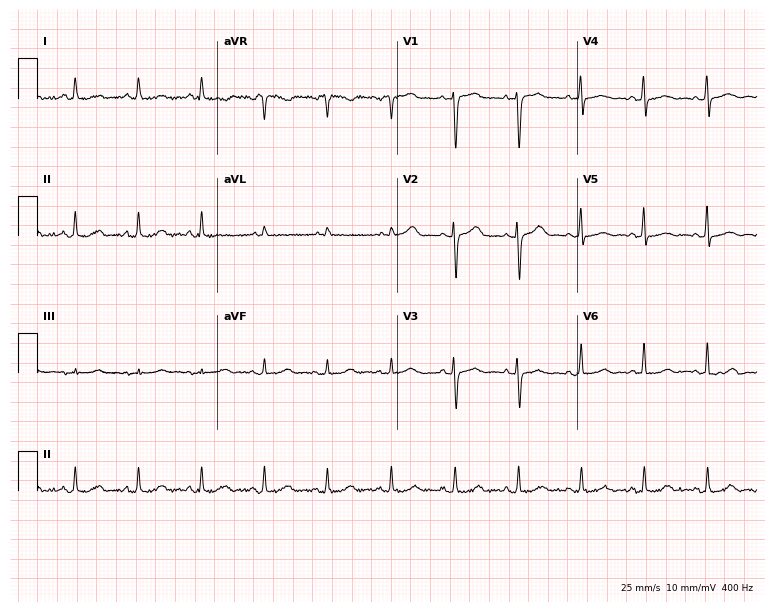
Electrocardiogram, a woman, 49 years old. Of the six screened findings (first-degree AV block, right bundle branch block, left bundle branch block, sinus bradycardia, atrial fibrillation, sinus tachycardia), none is recorded.